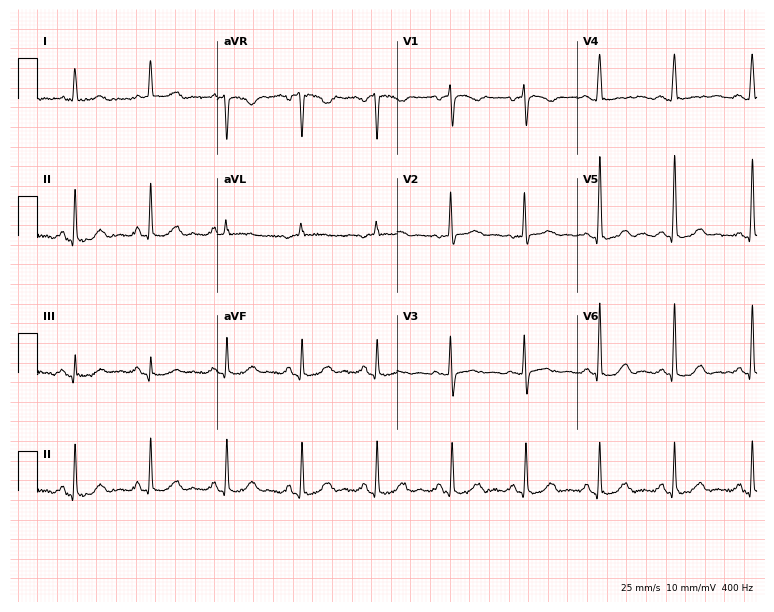
Electrocardiogram (7.3-second recording at 400 Hz), a 61-year-old woman. Overall reading on record: normal ECG.